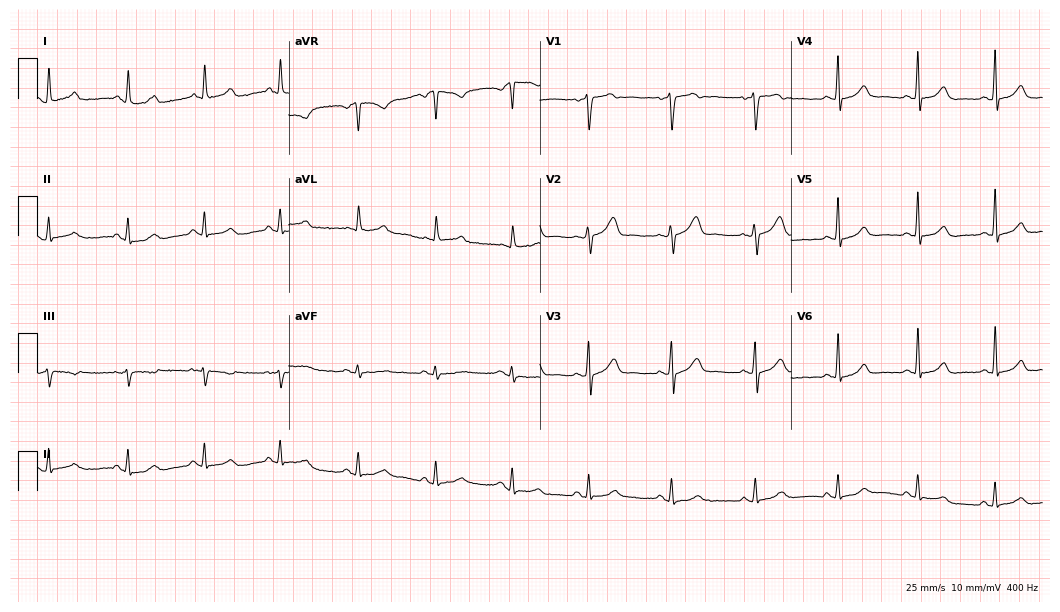
12-lead ECG from a male, 45 years old. Labelled as a normal ECG.